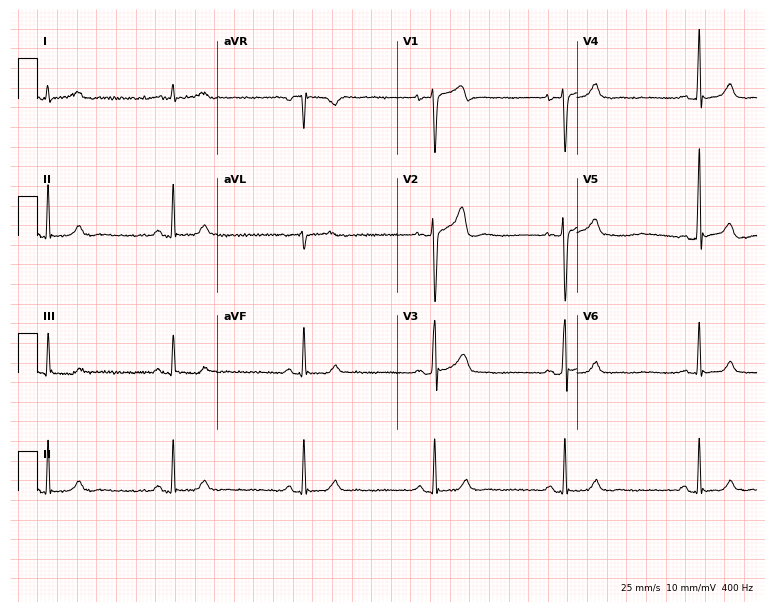
12-lead ECG (7.3-second recording at 400 Hz) from a 45-year-old male patient. Labelled as a normal ECG.